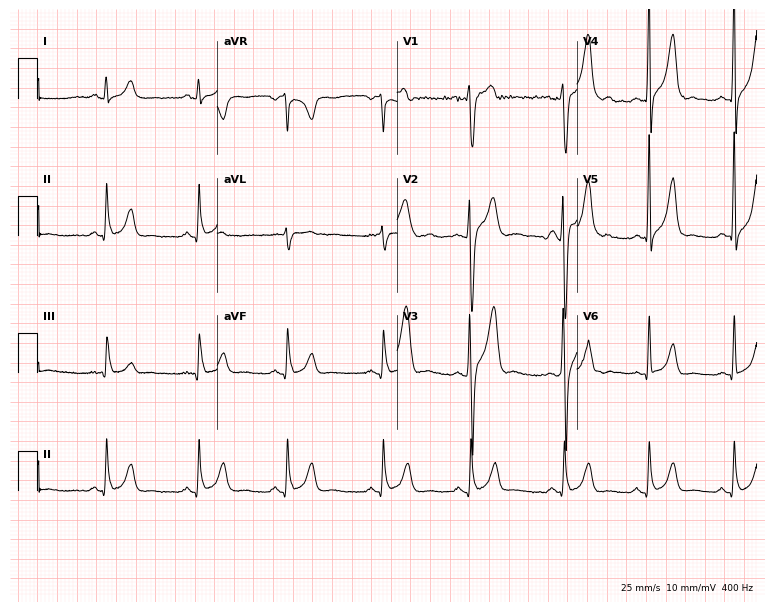
ECG (7.3-second recording at 400 Hz) — a 19-year-old male. Labelled as a normal ECG.